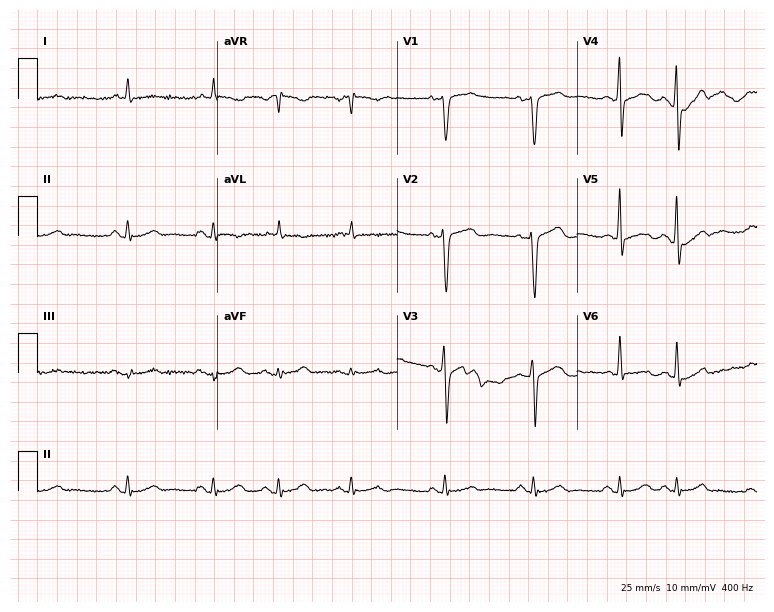
12-lead ECG from a 75-year-old woman. Screened for six findings — first-degree AV block, right bundle branch block, left bundle branch block, sinus bradycardia, atrial fibrillation, sinus tachycardia — none is recorded.